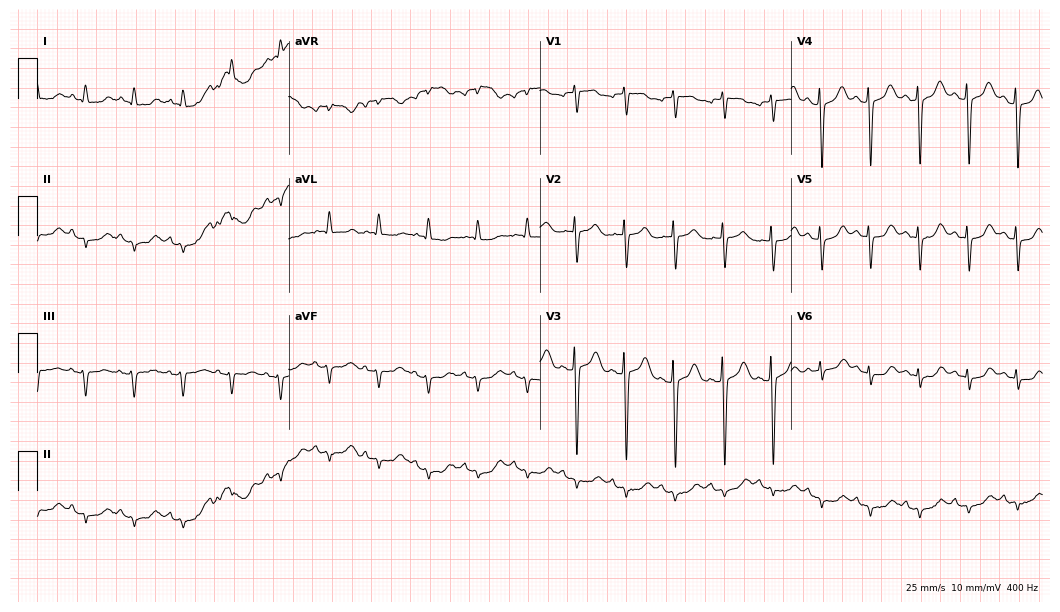
Standard 12-lead ECG recorded from a 57-year-old female (10.2-second recording at 400 Hz). None of these six findings is recorded: first-degree AV block, right bundle branch block, left bundle branch block, sinus bradycardia, atrial fibrillation, sinus tachycardia. Other findings, if any, are not listed.